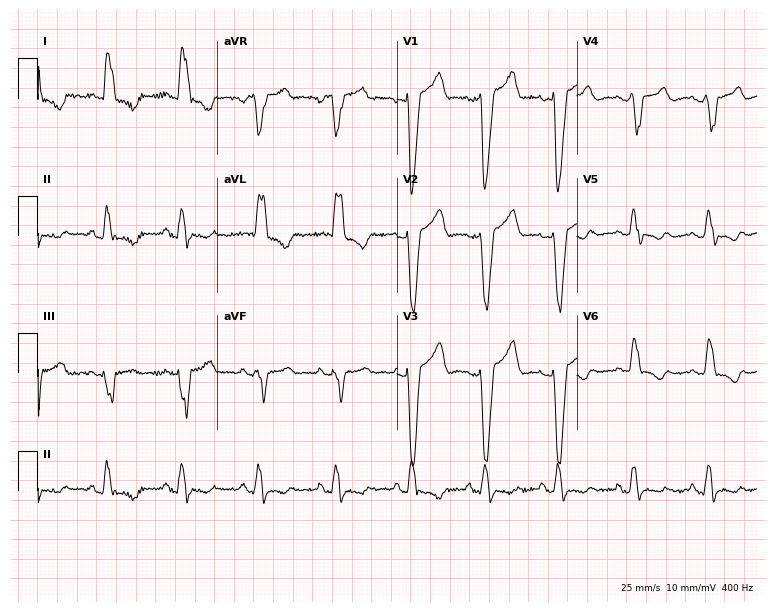
12-lead ECG from a female, 53 years old (7.3-second recording at 400 Hz). Shows left bundle branch block.